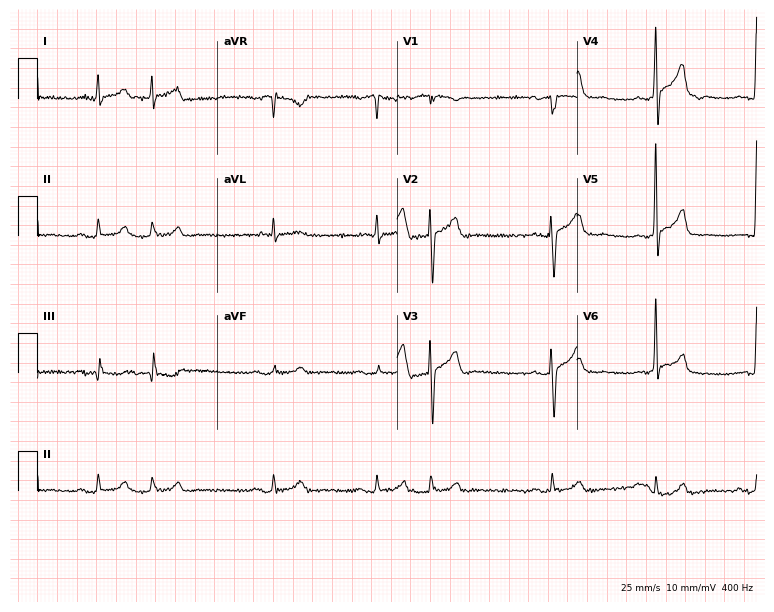
12-lead ECG from a 68-year-old male patient. Screened for six findings — first-degree AV block, right bundle branch block, left bundle branch block, sinus bradycardia, atrial fibrillation, sinus tachycardia — none is recorded.